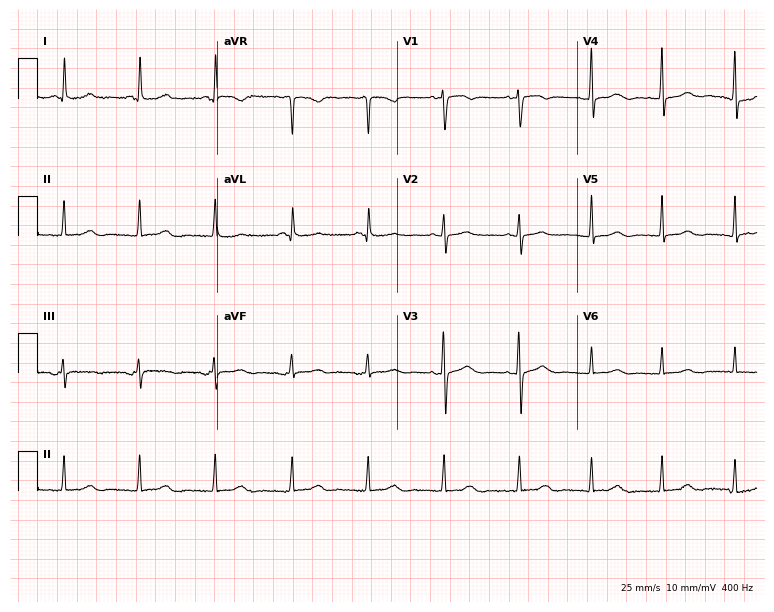
Electrocardiogram, a 68-year-old woman. Of the six screened findings (first-degree AV block, right bundle branch block (RBBB), left bundle branch block (LBBB), sinus bradycardia, atrial fibrillation (AF), sinus tachycardia), none is recorded. Other findings, if any, are not listed.